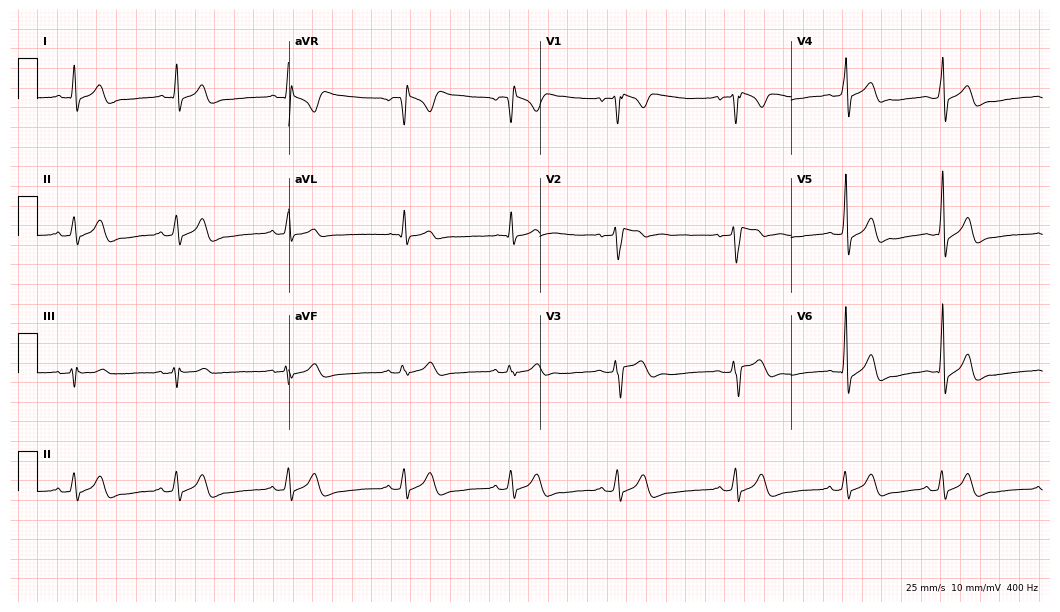
Electrocardiogram (10.2-second recording at 400 Hz), a male patient, 23 years old. Of the six screened findings (first-degree AV block, right bundle branch block, left bundle branch block, sinus bradycardia, atrial fibrillation, sinus tachycardia), none is recorded. Other findings, if any, are not listed.